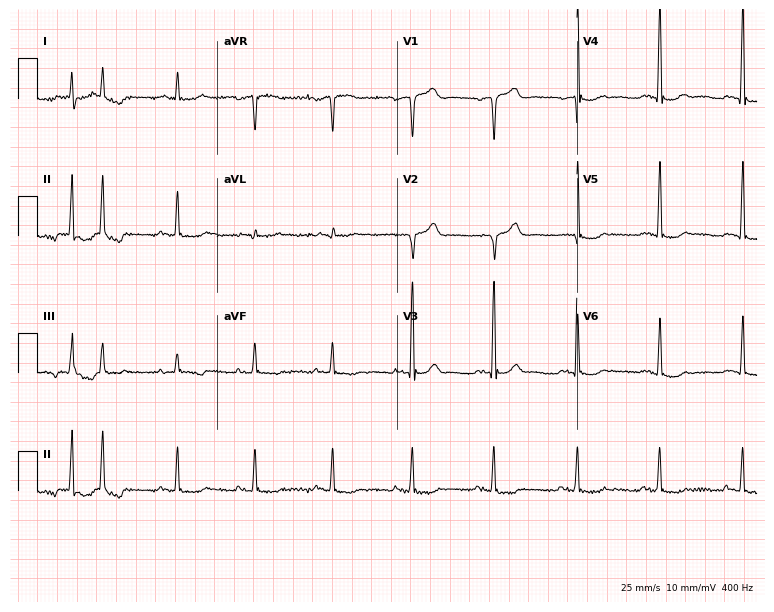
ECG (7.3-second recording at 400 Hz) — a 66-year-old male. Screened for six findings — first-degree AV block, right bundle branch block (RBBB), left bundle branch block (LBBB), sinus bradycardia, atrial fibrillation (AF), sinus tachycardia — none is recorded.